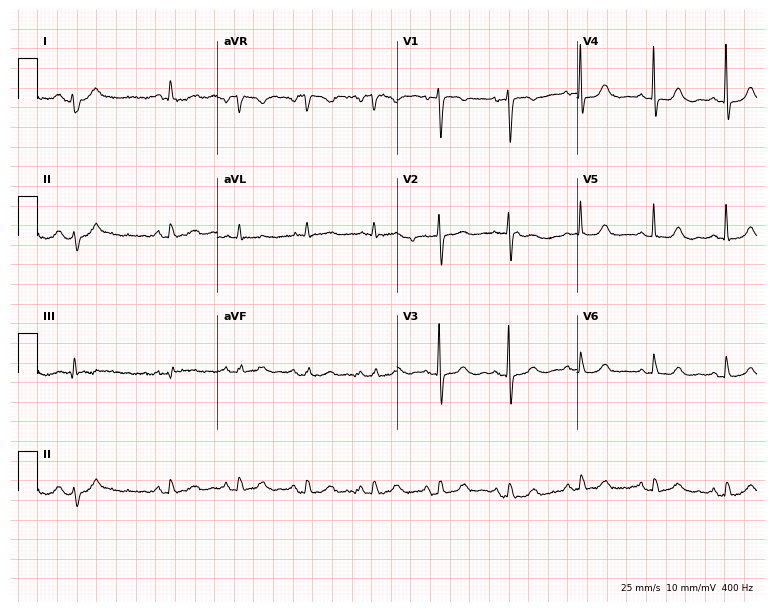
ECG — a female, 75 years old. Labelled as a normal ECG.